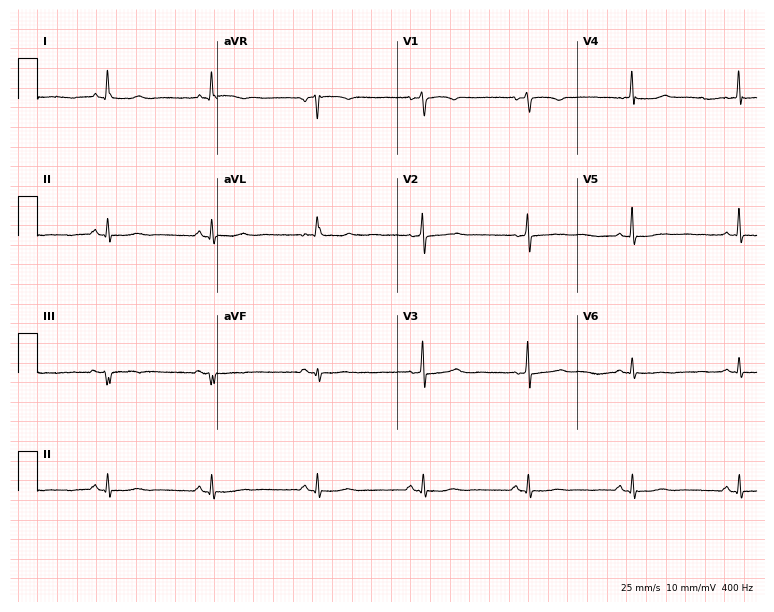
12-lead ECG (7.3-second recording at 400 Hz) from a 47-year-old female. Screened for six findings — first-degree AV block, right bundle branch block, left bundle branch block, sinus bradycardia, atrial fibrillation, sinus tachycardia — none is recorded. Only these six findings were labelled.